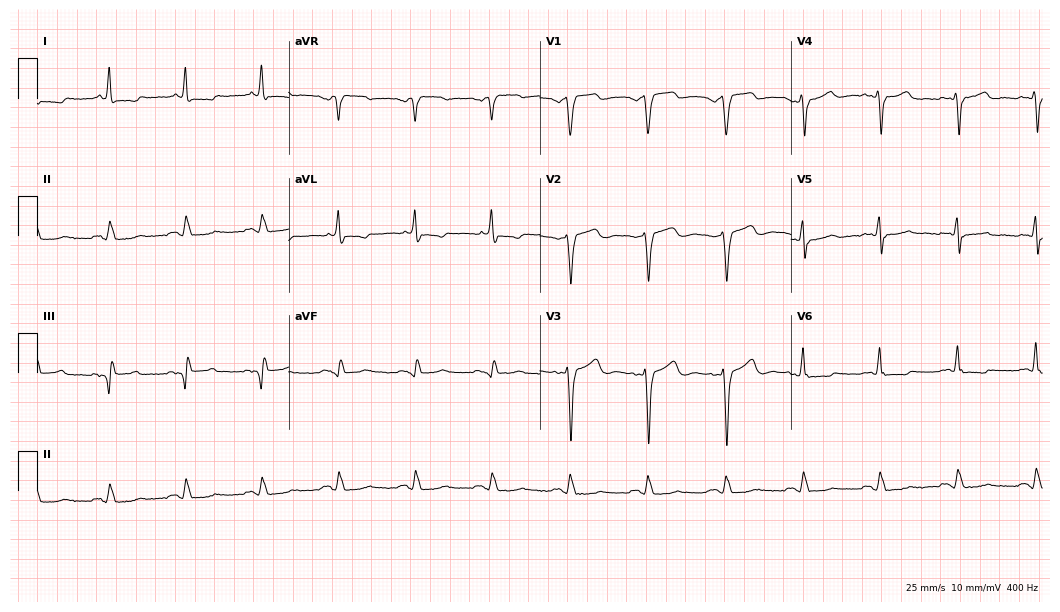
Electrocardiogram, a 70-year-old man. Of the six screened findings (first-degree AV block, right bundle branch block (RBBB), left bundle branch block (LBBB), sinus bradycardia, atrial fibrillation (AF), sinus tachycardia), none is recorded.